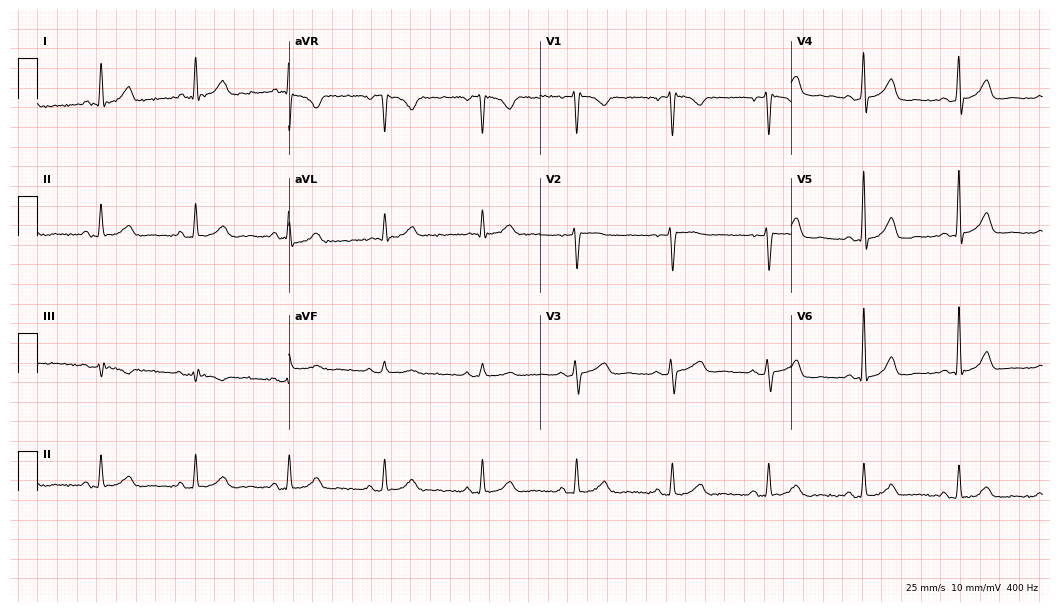
Resting 12-lead electrocardiogram (10.2-second recording at 400 Hz). Patient: a 61-year-old female. Read as a normal ECG.